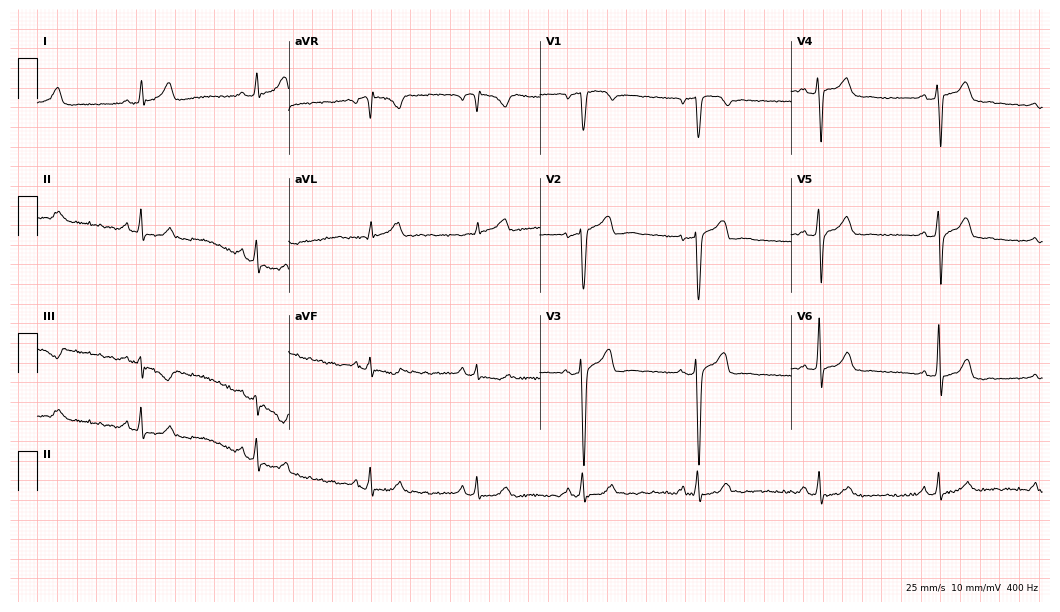
12-lead ECG from a 56-year-old male patient (10.2-second recording at 400 Hz). No first-degree AV block, right bundle branch block, left bundle branch block, sinus bradycardia, atrial fibrillation or sinus tachycardia recorded for this tracing.